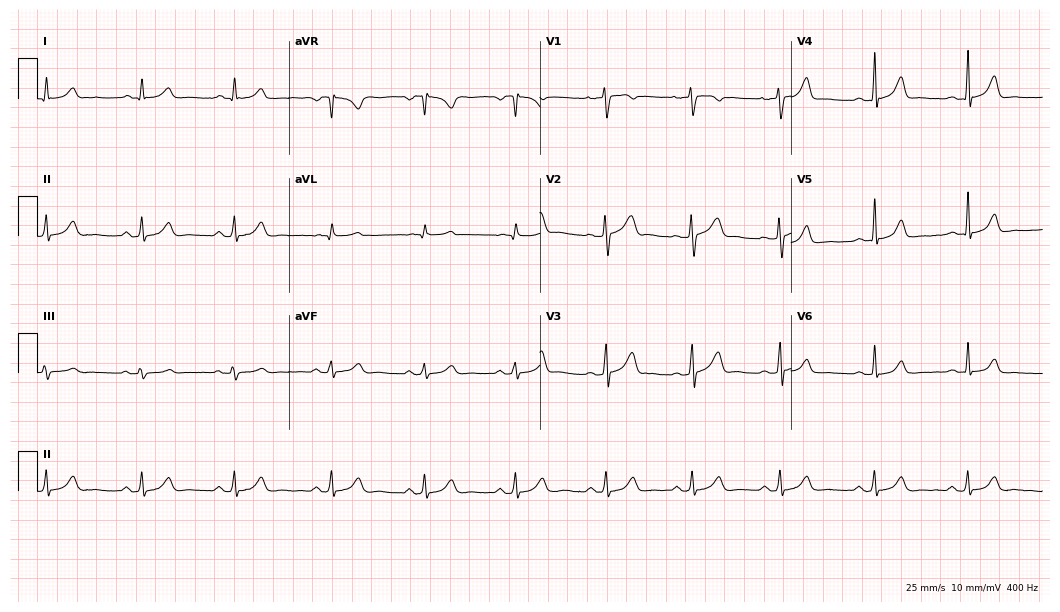
12-lead ECG from a 29-year-old female patient (10.2-second recording at 400 Hz). No first-degree AV block, right bundle branch block, left bundle branch block, sinus bradycardia, atrial fibrillation or sinus tachycardia recorded for this tracing. Other findings, if any, are not listed.